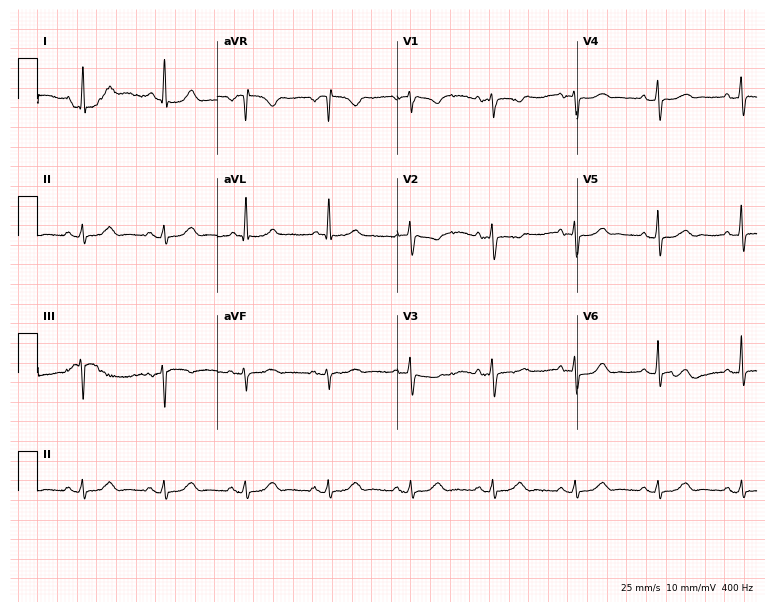
Resting 12-lead electrocardiogram (7.3-second recording at 400 Hz). Patient: an 81-year-old woman. Read as a normal ECG.